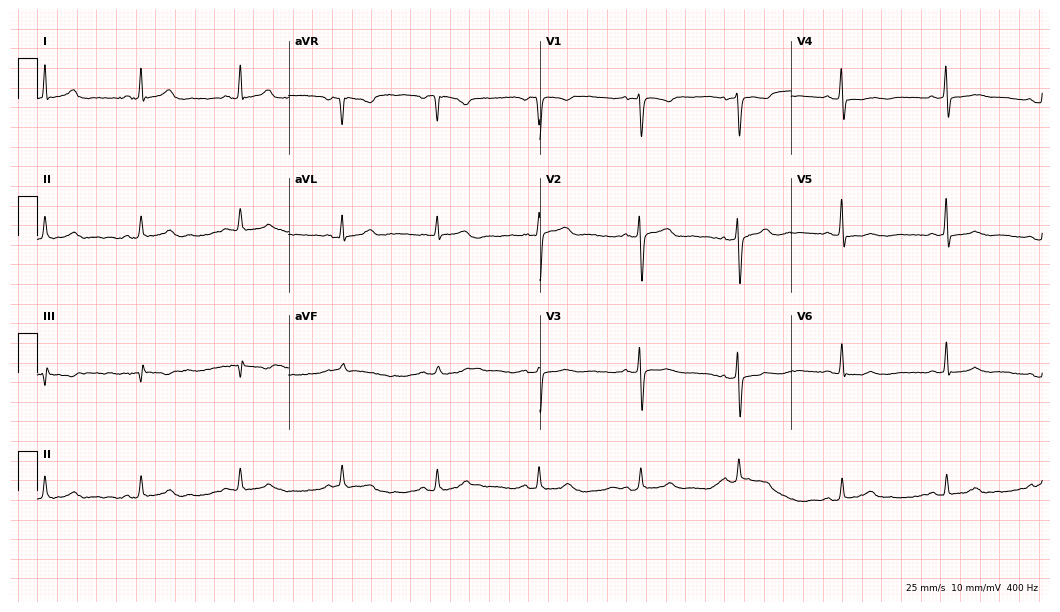
Resting 12-lead electrocardiogram (10.2-second recording at 400 Hz). Patient: a female, 45 years old. Read as a normal ECG.